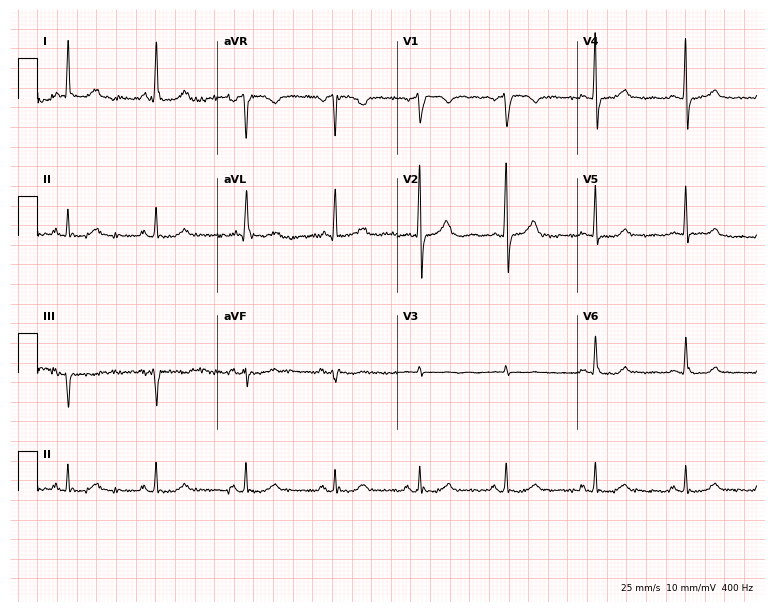
12-lead ECG (7.3-second recording at 400 Hz) from a 68-year-old female patient. Screened for six findings — first-degree AV block, right bundle branch block (RBBB), left bundle branch block (LBBB), sinus bradycardia, atrial fibrillation (AF), sinus tachycardia — none is recorded. Findings outside these six are not listed.